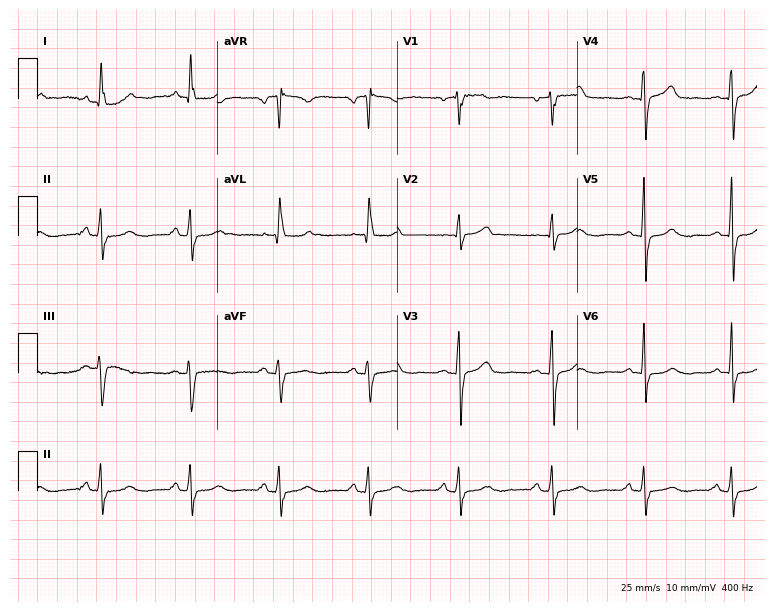
12-lead ECG from a 62-year-old female. Screened for six findings — first-degree AV block, right bundle branch block, left bundle branch block, sinus bradycardia, atrial fibrillation, sinus tachycardia — none is recorded. Findings outside these six are not listed.